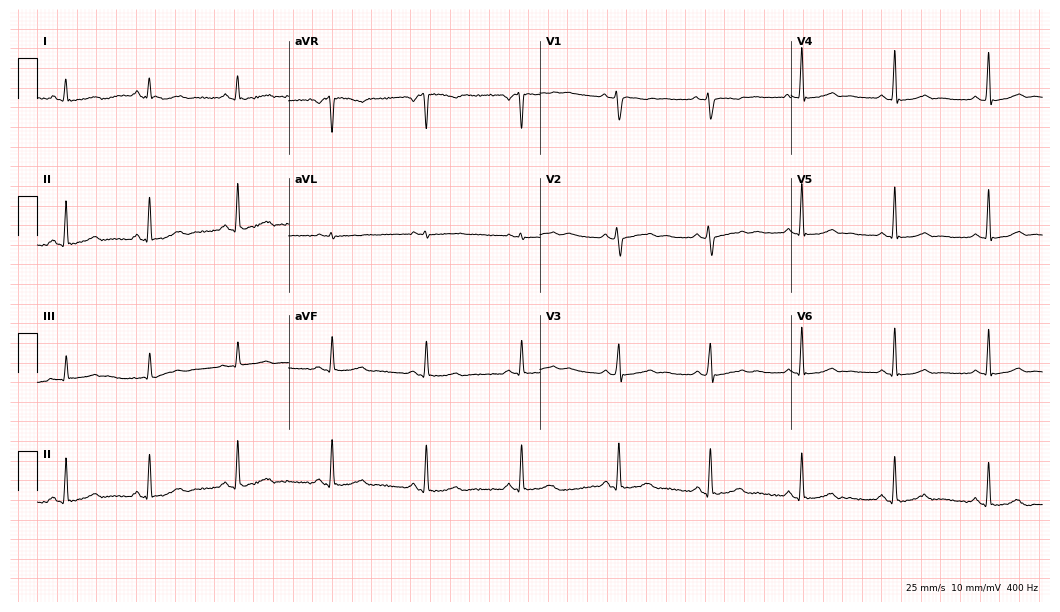
ECG (10.2-second recording at 400 Hz) — a 36-year-old female patient. Labelled as a normal ECG.